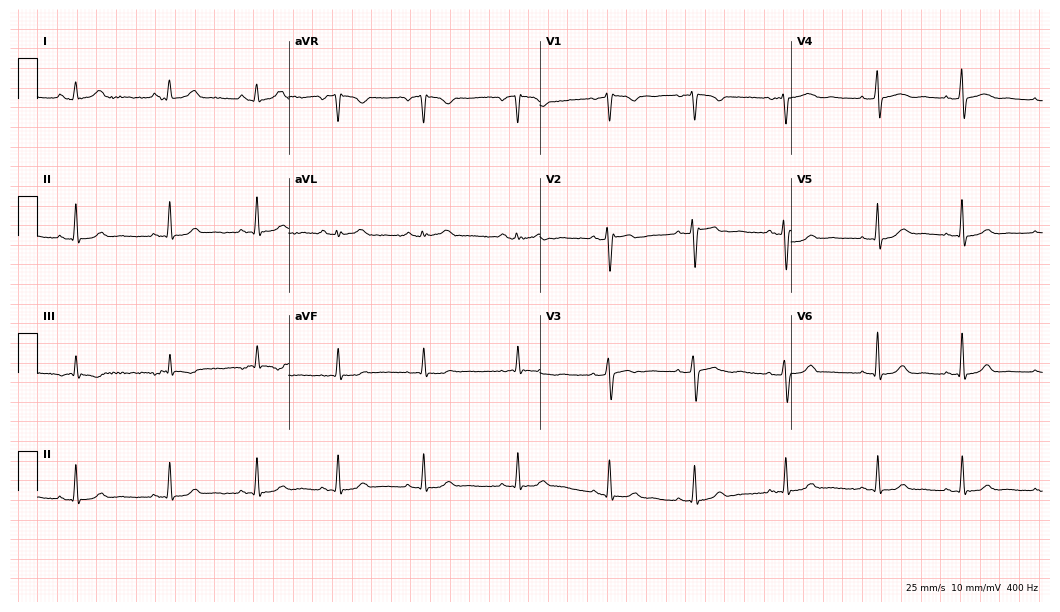
12-lead ECG (10.2-second recording at 400 Hz) from a woman, 24 years old. Labelled as a normal ECG.